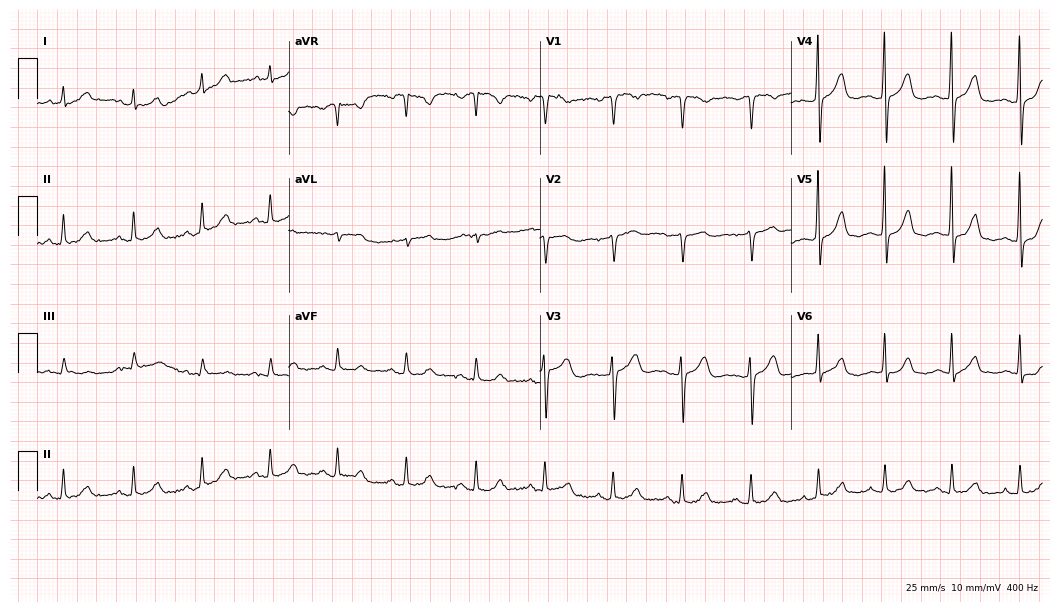
Resting 12-lead electrocardiogram (10.2-second recording at 400 Hz). Patient: a female, 42 years old. Read as a normal ECG.